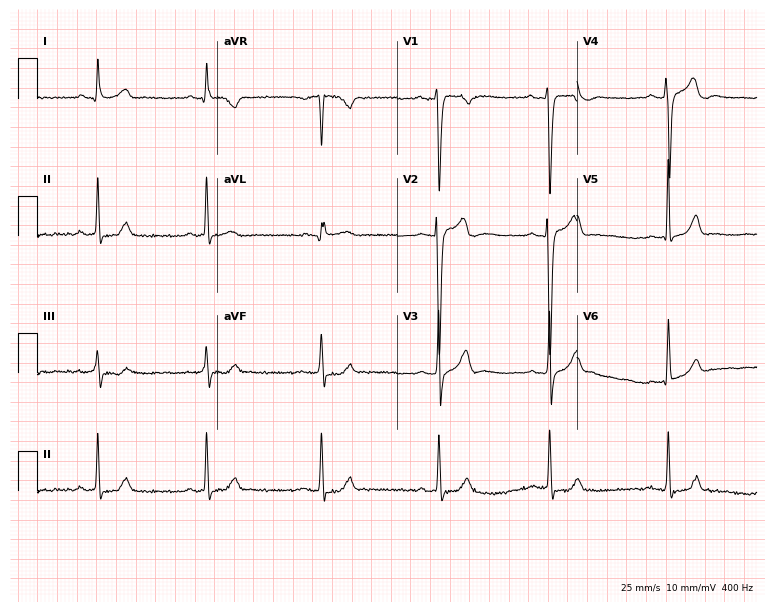
Standard 12-lead ECG recorded from a male, 24 years old (7.3-second recording at 400 Hz). None of these six findings is recorded: first-degree AV block, right bundle branch block, left bundle branch block, sinus bradycardia, atrial fibrillation, sinus tachycardia.